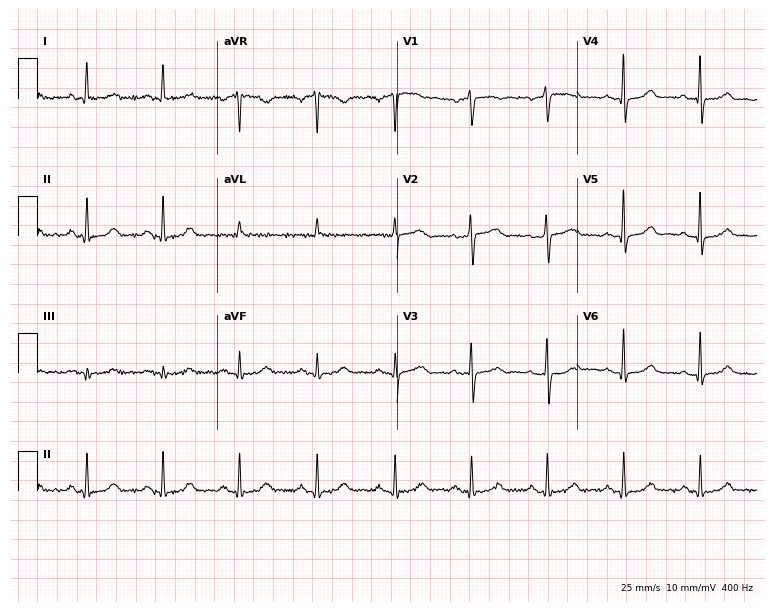
Resting 12-lead electrocardiogram (7.3-second recording at 400 Hz). Patient: a woman, 52 years old. Read as a normal ECG.